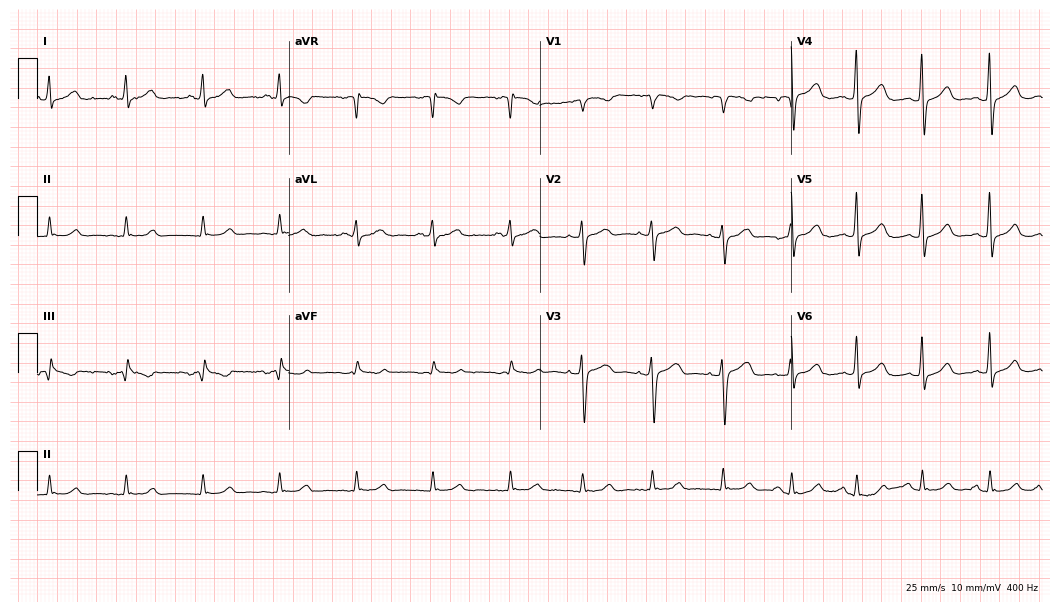
Electrocardiogram (10.2-second recording at 400 Hz), a male, 42 years old. Overall reading on record: normal ECG.